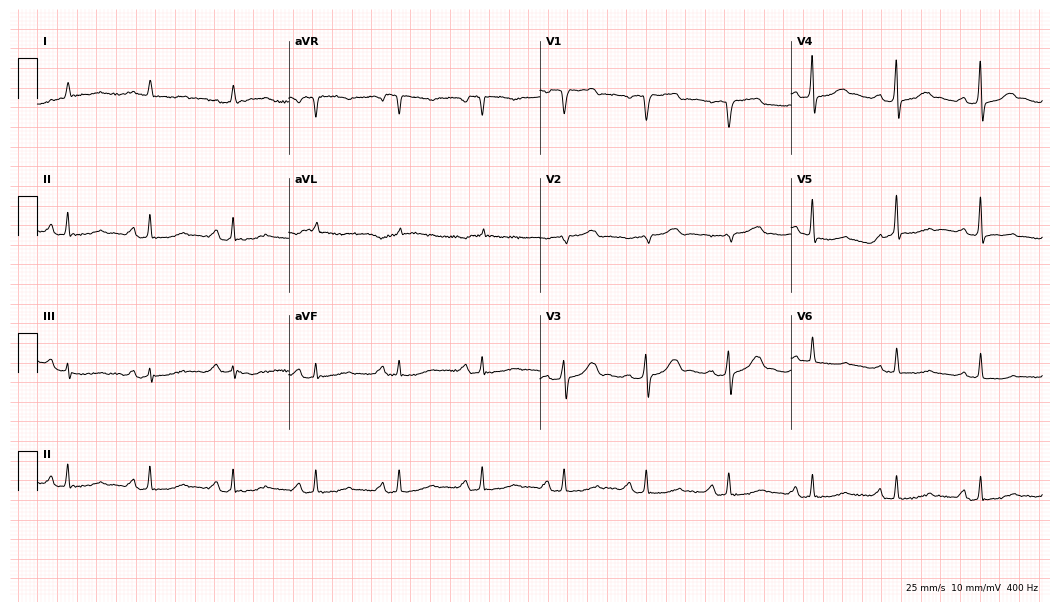
Standard 12-lead ECG recorded from a male, 73 years old (10.2-second recording at 400 Hz). Read as a normal ECG.